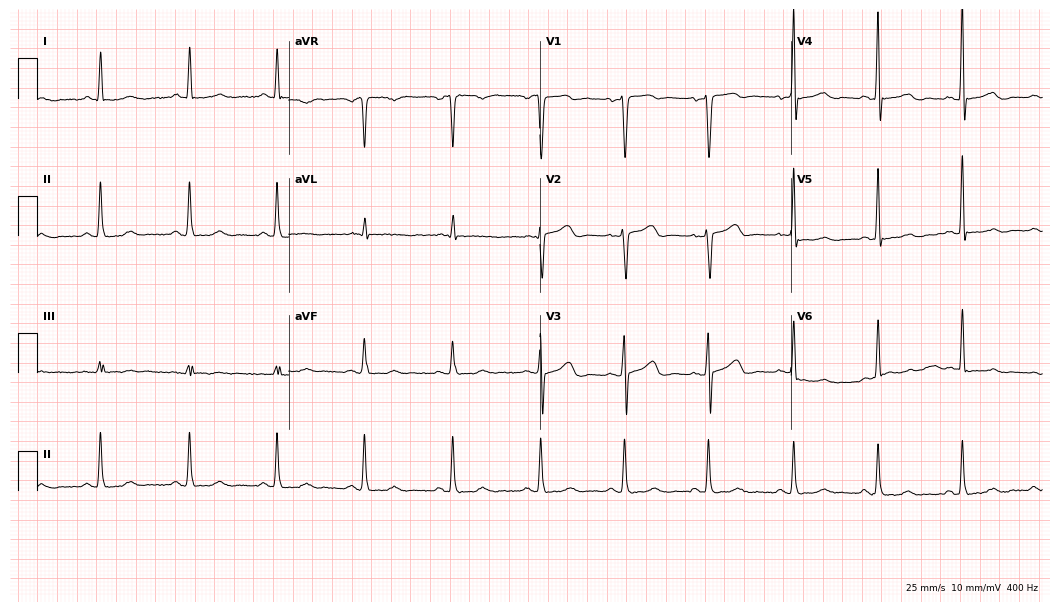
12-lead ECG from a 58-year-old man. Labelled as a normal ECG.